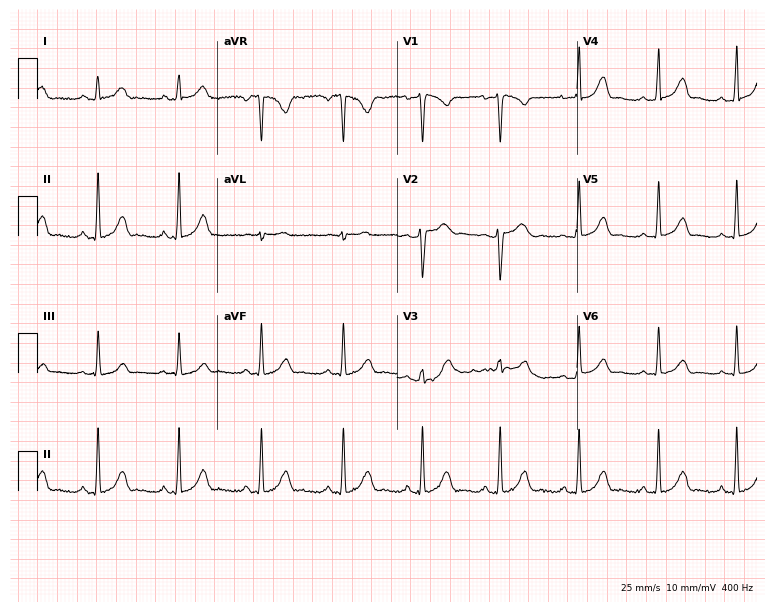
12-lead ECG from a 29-year-old female patient (7.3-second recording at 400 Hz). Recorded interpretation: within normal limits.